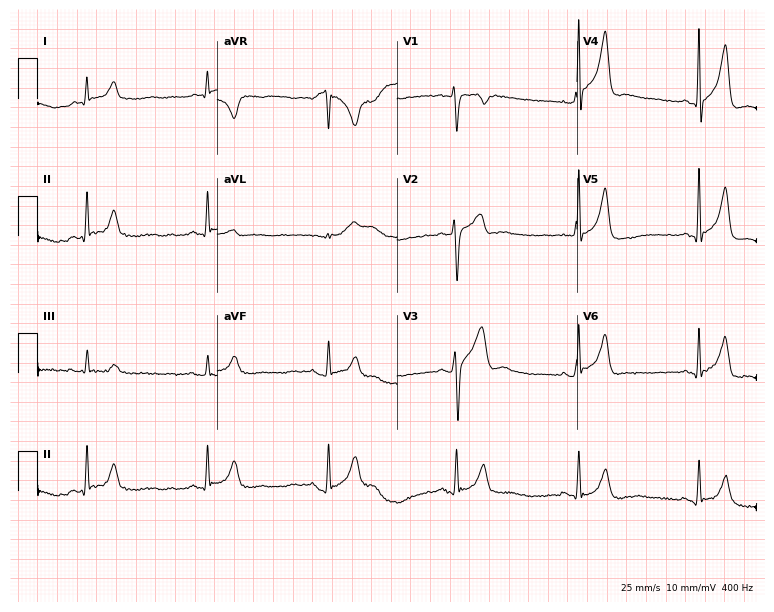
12-lead ECG from a 40-year-old male. Shows sinus bradycardia (a sinus rate of 50 beats per minute or less).